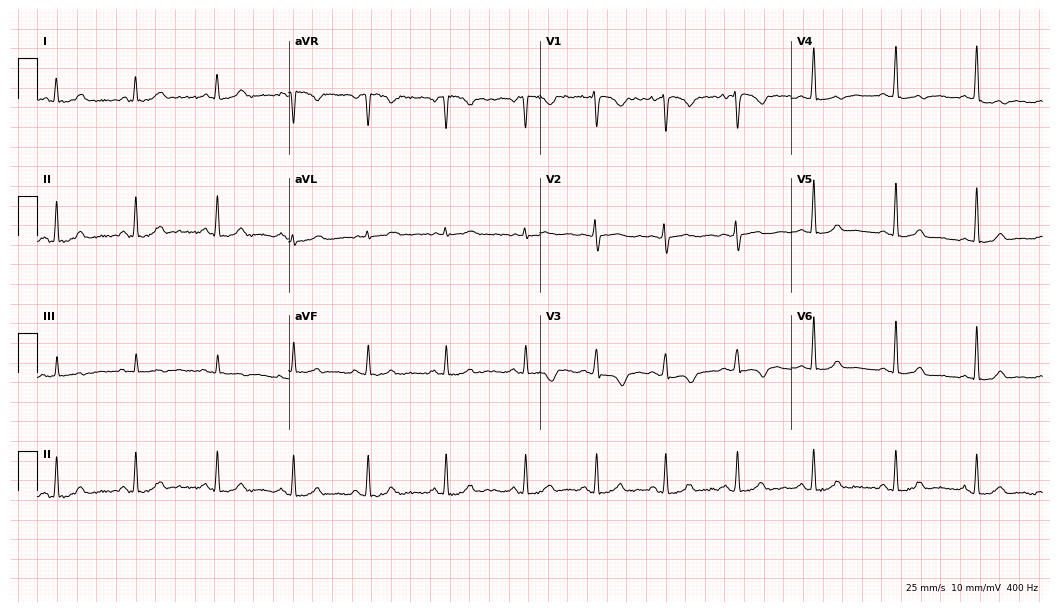
ECG — a 22-year-old woman. Screened for six findings — first-degree AV block, right bundle branch block (RBBB), left bundle branch block (LBBB), sinus bradycardia, atrial fibrillation (AF), sinus tachycardia — none is recorded.